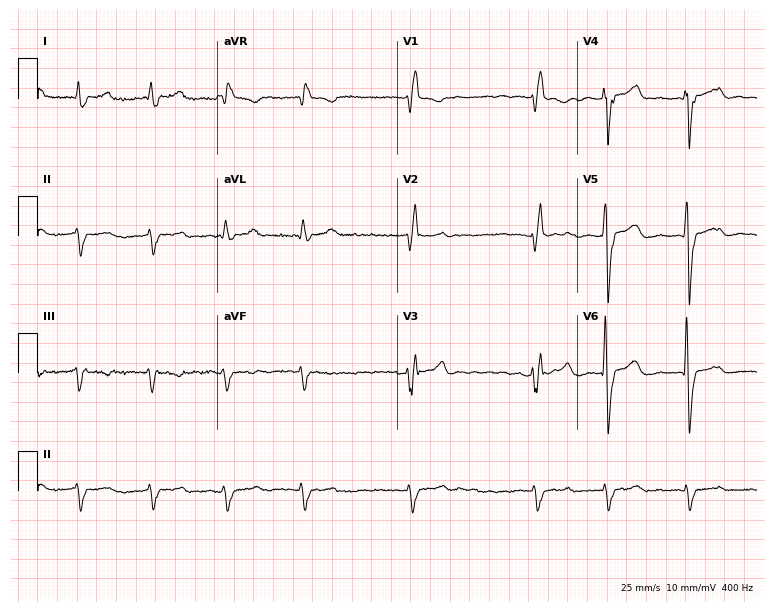
12-lead ECG from a male patient, 77 years old (7.3-second recording at 400 Hz). Shows atrial fibrillation (AF).